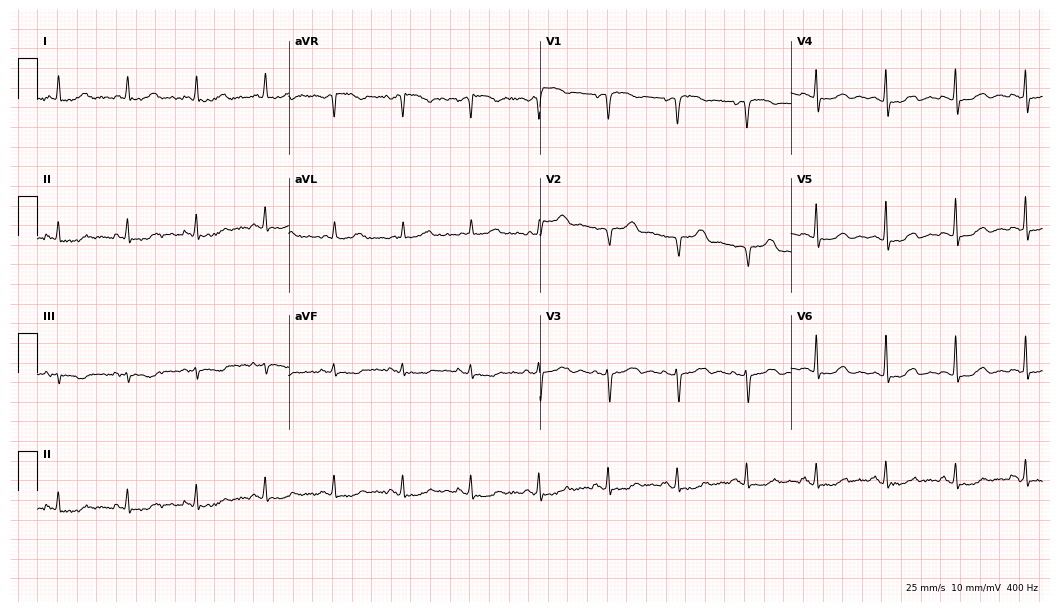
Standard 12-lead ECG recorded from an 18-year-old female patient. None of these six findings is recorded: first-degree AV block, right bundle branch block (RBBB), left bundle branch block (LBBB), sinus bradycardia, atrial fibrillation (AF), sinus tachycardia. Findings outside these six are not listed.